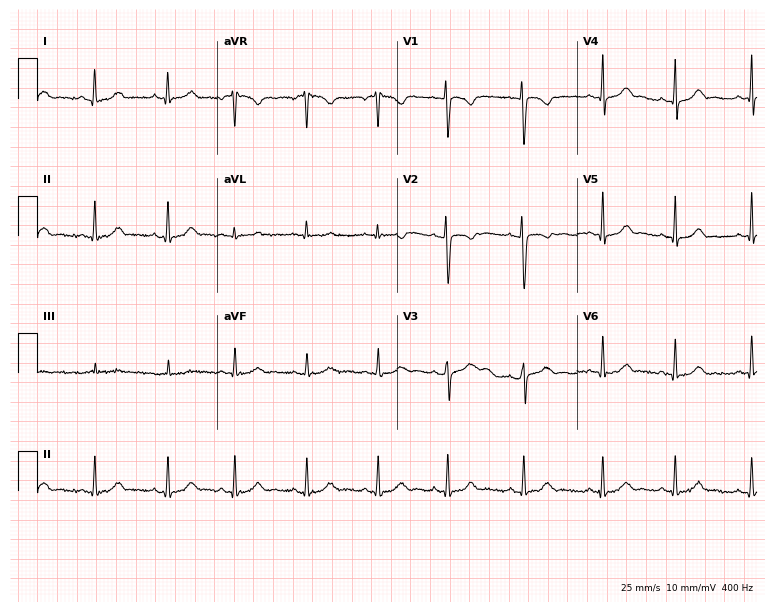
ECG — a female patient, 22 years old. Labelled as a normal ECG.